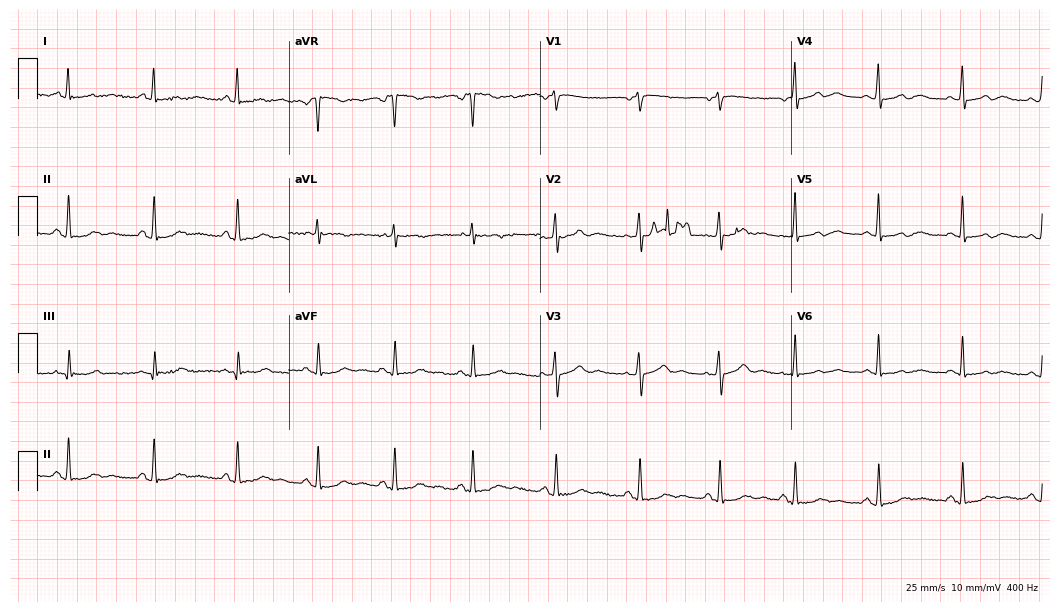
Electrocardiogram, a 43-year-old female. Overall reading on record: normal ECG.